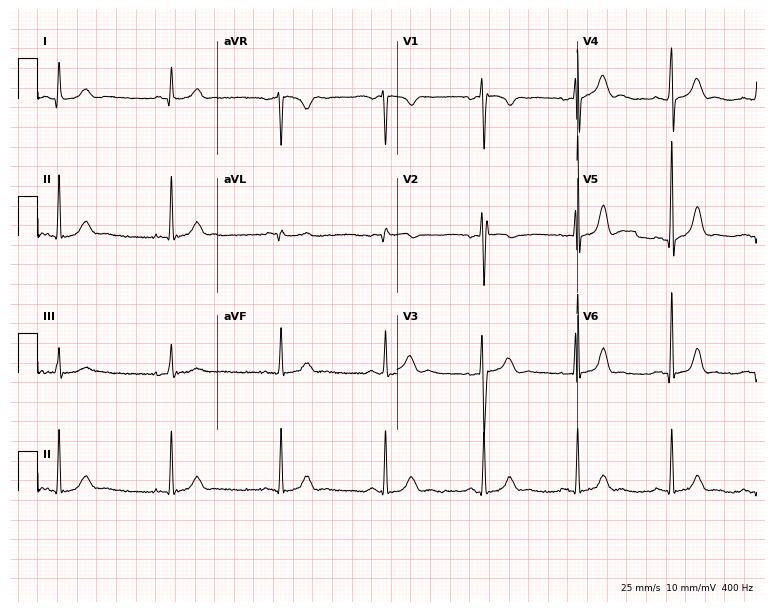
12-lead ECG from a female, 27 years old (7.3-second recording at 400 Hz). No first-degree AV block, right bundle branch block (RBBB), left bundle branch block (LBBB), sinus bradycardia, atrial fibrillation (AF) or sinus tachycardia recorded for this tracing.